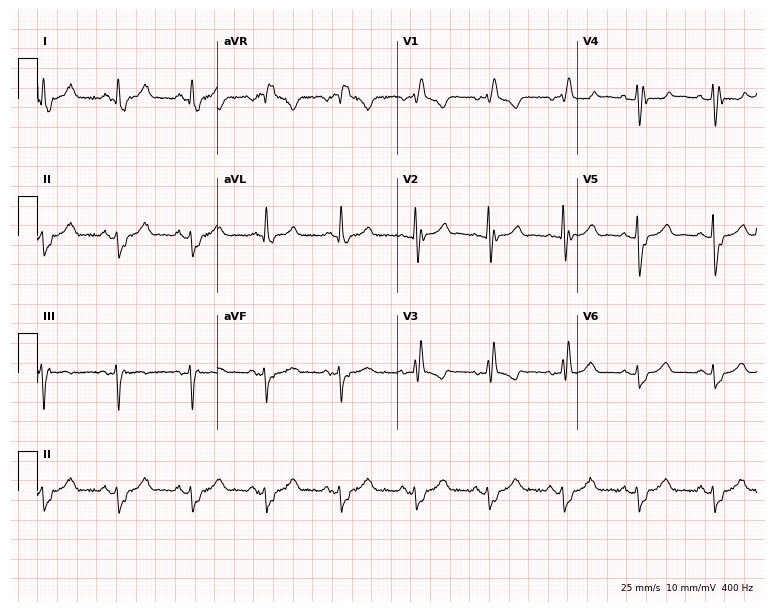
Electrocardiogram (7.3-second recording at 400 Hz), a female patient, 66 years old. Interpretation includes right bundle branch block (RBBB).